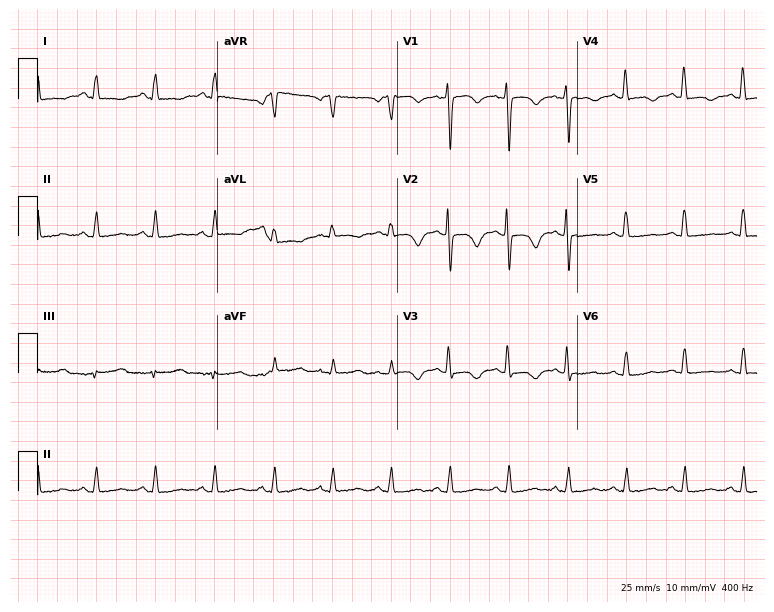
ECG — a 55-year-old man. Findings include sinus tachycardia (a sinus rate of 100 beats per minute or more).